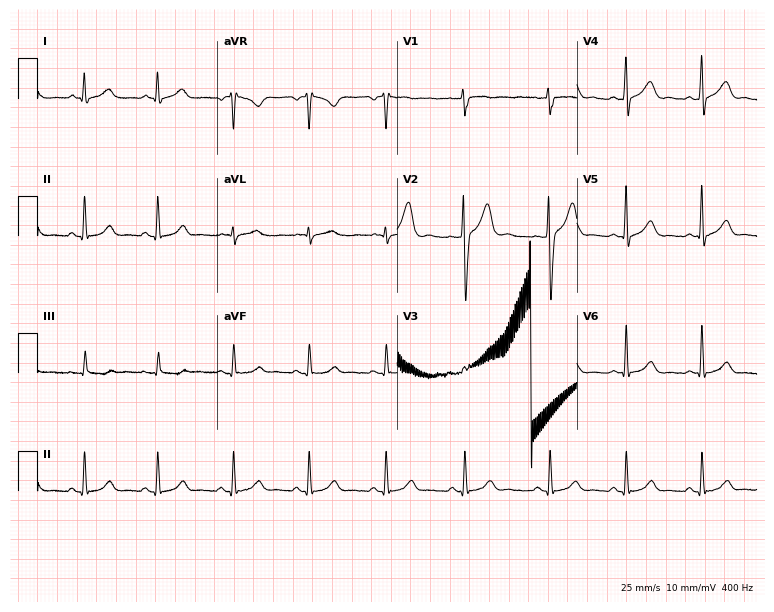
12-lead ECG (7.3-second recording at 400 Hz) from a 32-year-old male patient. Screened for six findings — first-degree AV block, right bundle branch block, left bundle branch block, sinus bradycardia, atrial fibrillation, sinus tachycardia — none is recorded.